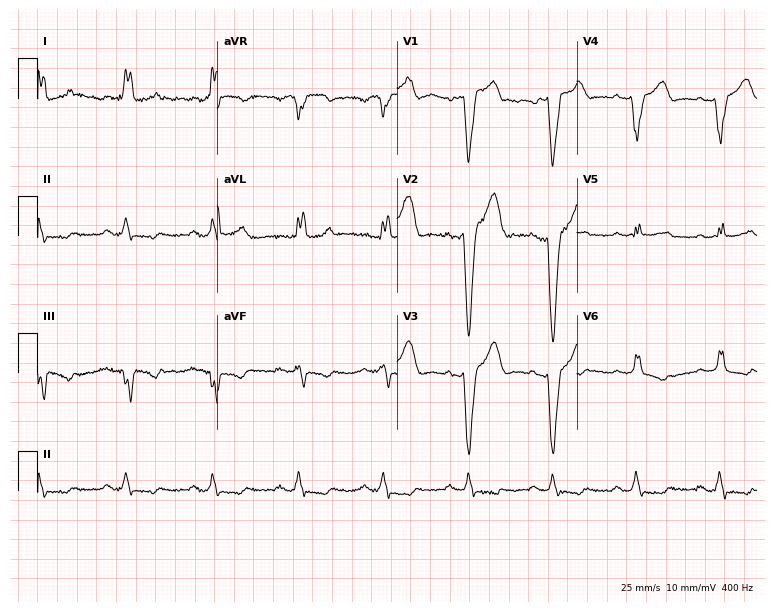
ECG — a 74-year-old man. Findings include left bundle branch block.